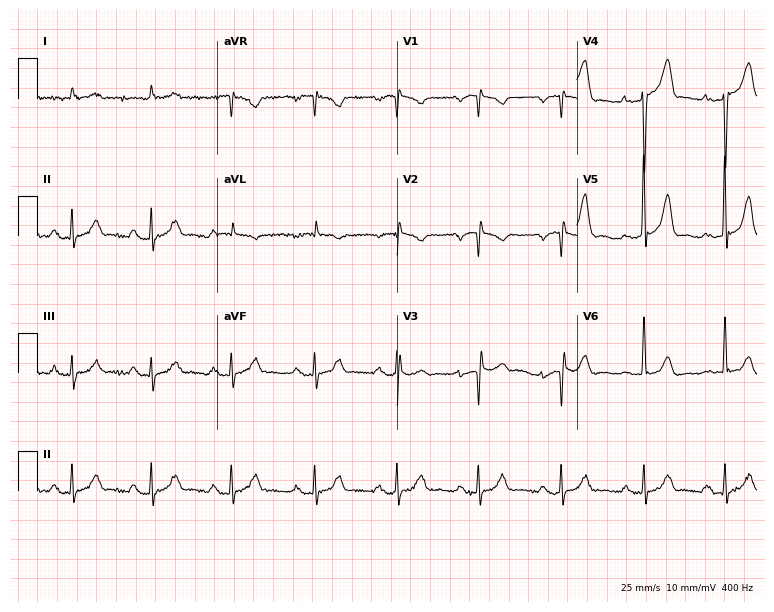
Resting 12-lead electrocardiogram. Patient: a male, 61 years old. The tracing shows first-degree AV block.